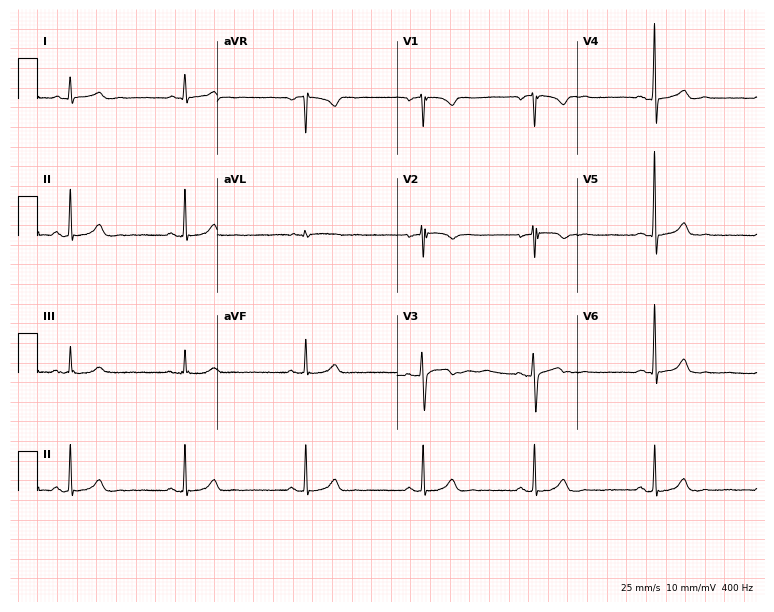
ECG (7.3-second recording at 400 Hz) — a 37-year-old woman. Screened for six findings — first-degree AV block, right bundle branch block, left bundle branch block, sinus bradycardia, atrial fibrillation, sinus tachycardia — none is recorded. Only these six findings were labelled.